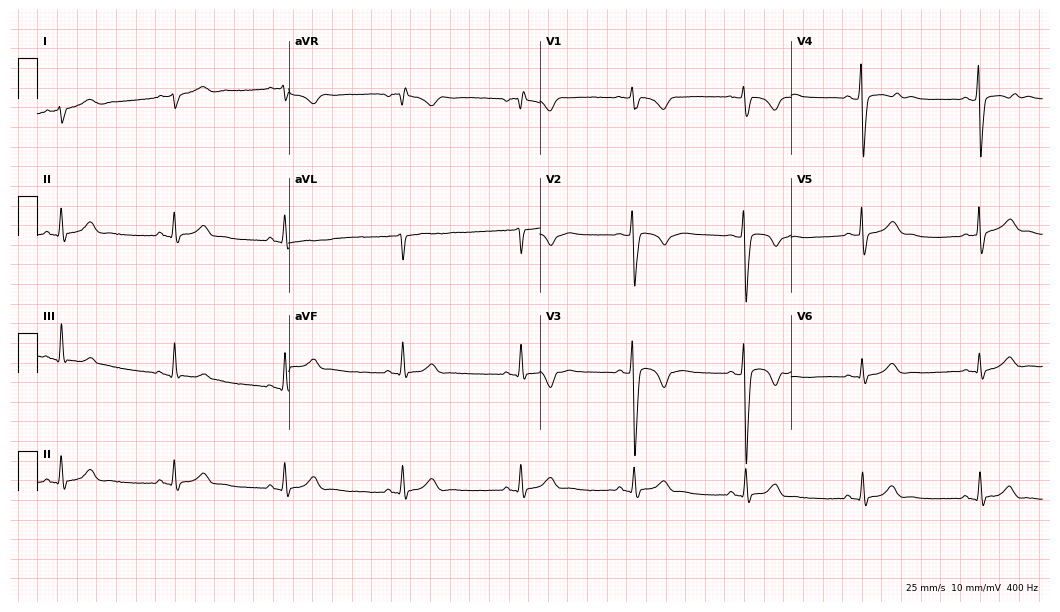
Resting 12-lead electrocardiogram (10.2-second recording at 400 Hz). Patient: a 28-year-old male. None of these six findings is recorded: first-degree AV block, right bundle branch block, left bundle branch block, sinus bradycardia, atrial fibrillation, sinus tachycardia. Other findings, if any, are not listed.